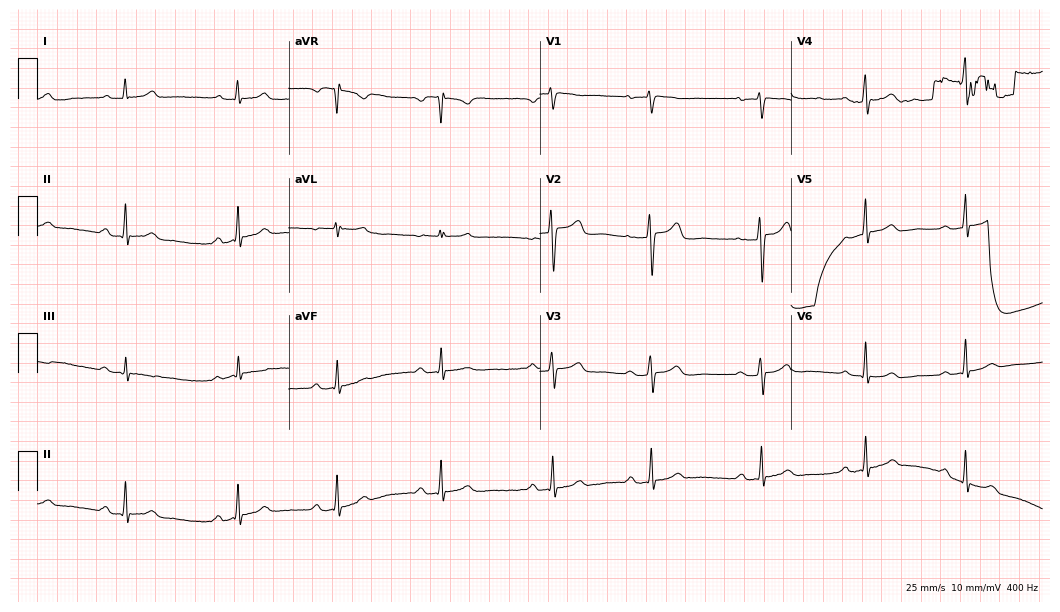
Standard 12-lead ECG recorded from a 44-year-old female. The tracing shows first-degree AV block.